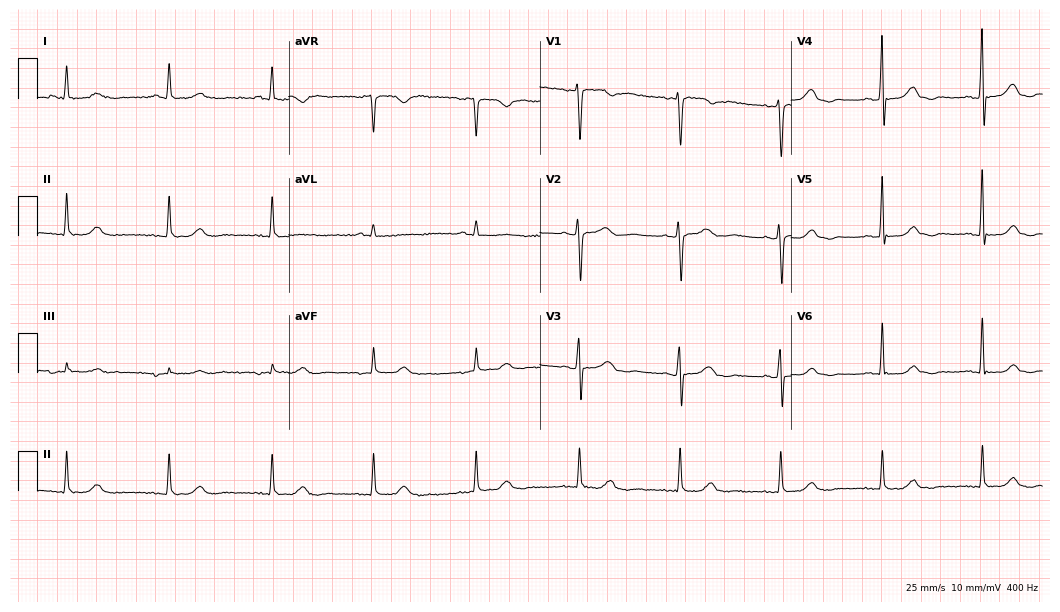
Electrocardiogram (10.2-second recording at 400 Hz), a female, 65 years old. Overall reading on record: normal ECG.